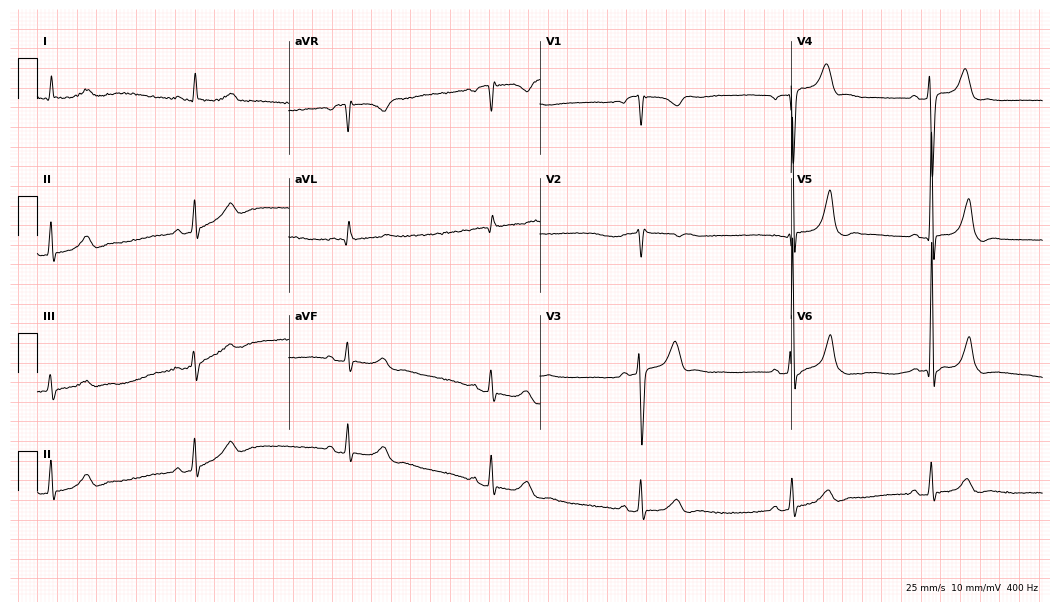
Resting 12-lead electrocardiogram. Patient: a 62-year-old male. The tracing shows sinus bradycardia (a sinus rate of 50 beats per minute or less).